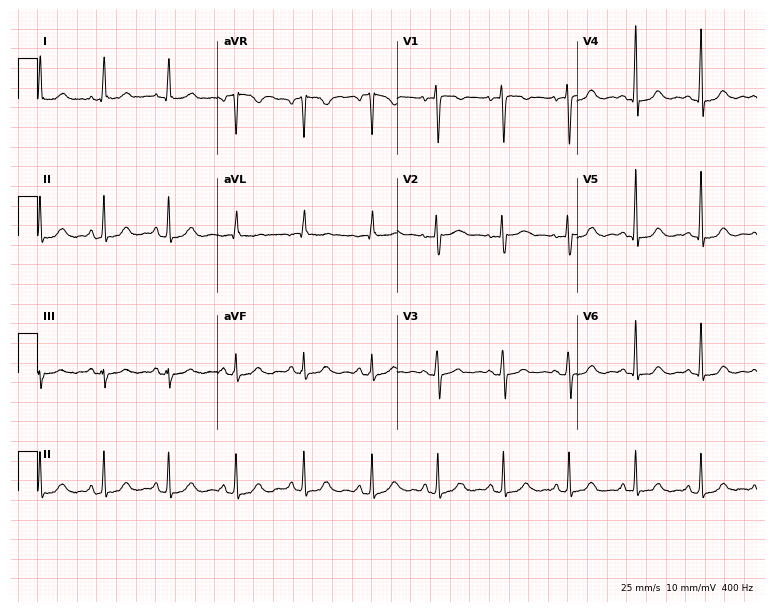
12-lead ECG from a woman, 60 years old. Recorded interpretation: within normal limits.